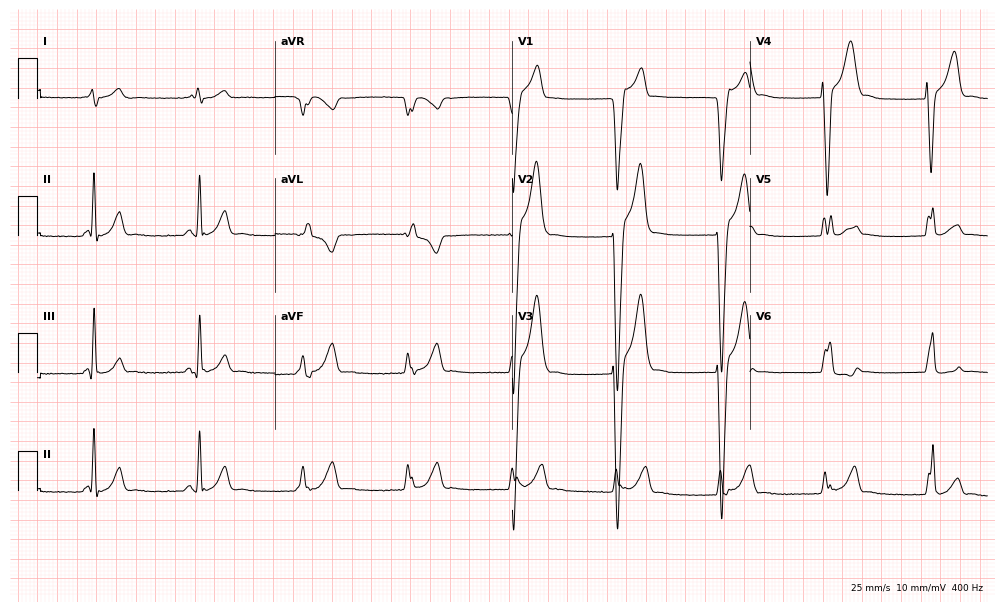
Resting 12-lead electrocardiogram (9.7-second recording at 400 Hz). Patient: a female, 54 years old. None of these six findings is recorded: first-degree AV block, right bundle branch block, left bundle branch block, sinus bradycardia, atrial fibrillation, sinus tachycardia. Only these six findings were labelled.